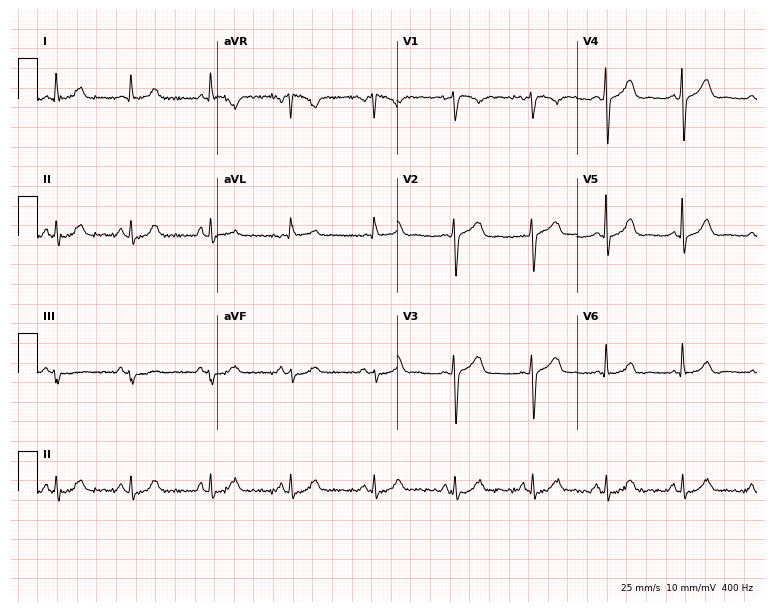
Standard 12-lead ECG recorded from a 47-year-old woman. Read as a normal ECG.